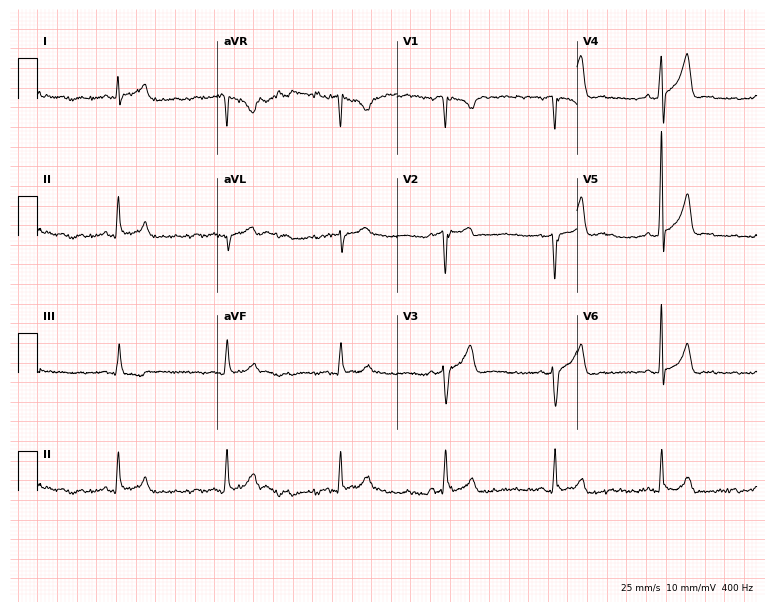
Electrocardiogram, a man, 36 years old. Overall reading on record: normal ECG.